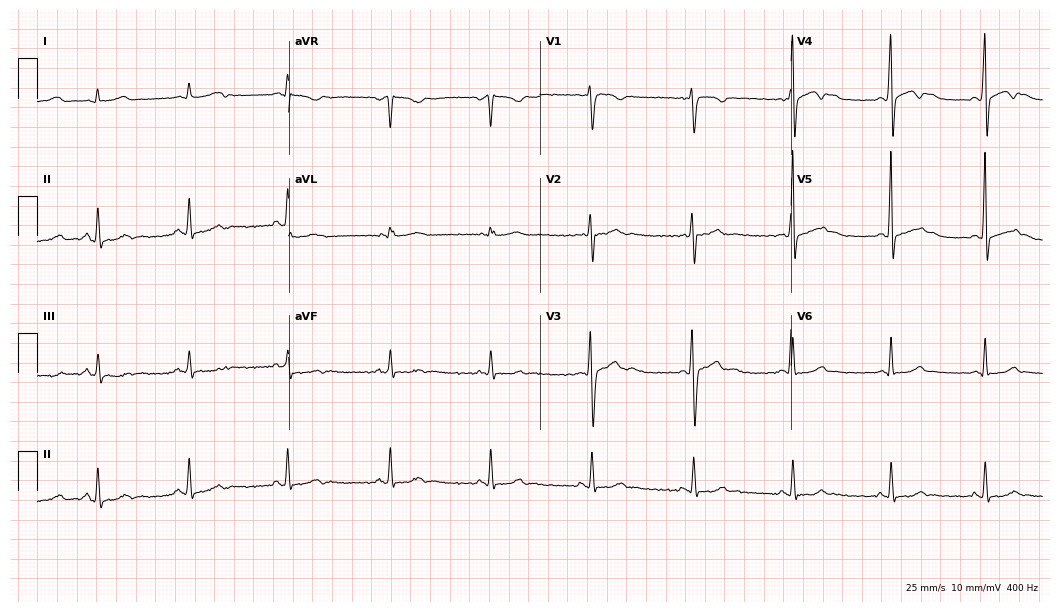
12-lead ECG from a 29-year-old male patient. No first-degree AV block, right bundle branch block (RBBB), left bundle branch block (LBBB), sinus bradycardia, atrial fibrillation (AF) or sinus tachycardia recorded for this tracing.